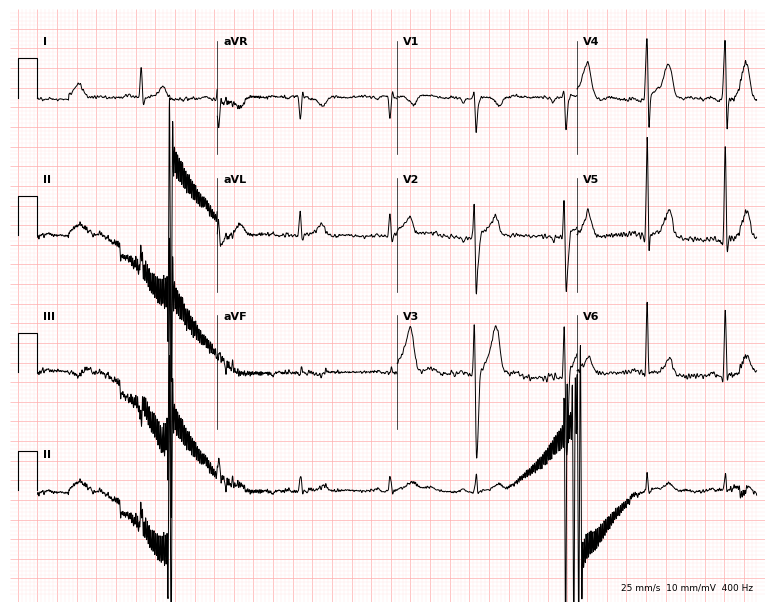
Resting 12-lead electrocardiogram. Patient: a man, 25 years old. None of these six findings is recorded: first-degree AV block, right bundle branch block, left bundle branch block, sinus bradycardia, atrial fibrillation, sinus tachycardia. Findings outside these six are not listed.